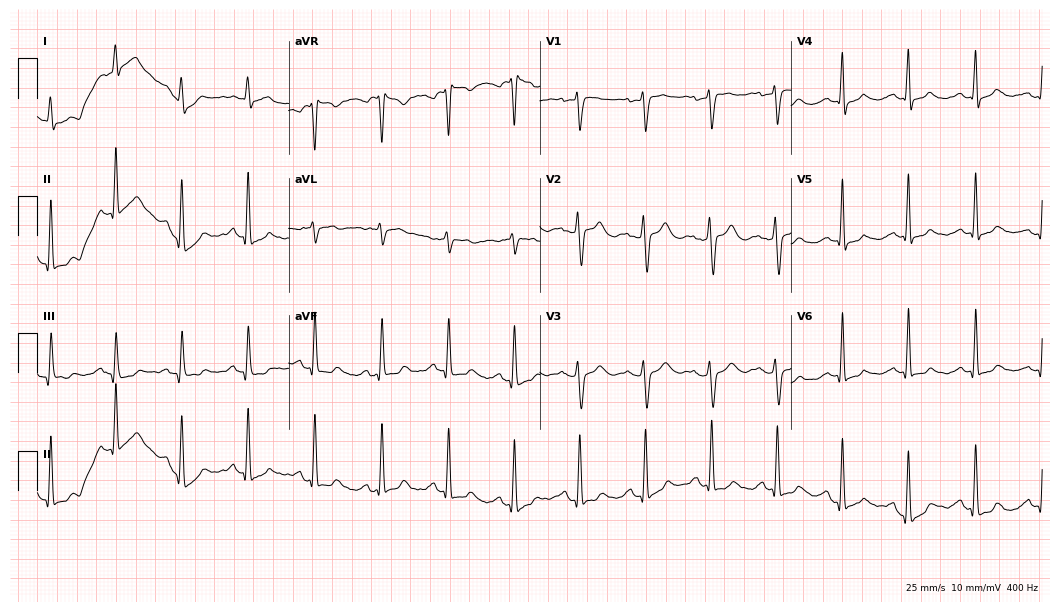
12-lead ECG from a 43-year-old female. Recorded interpretation: within normal limits.